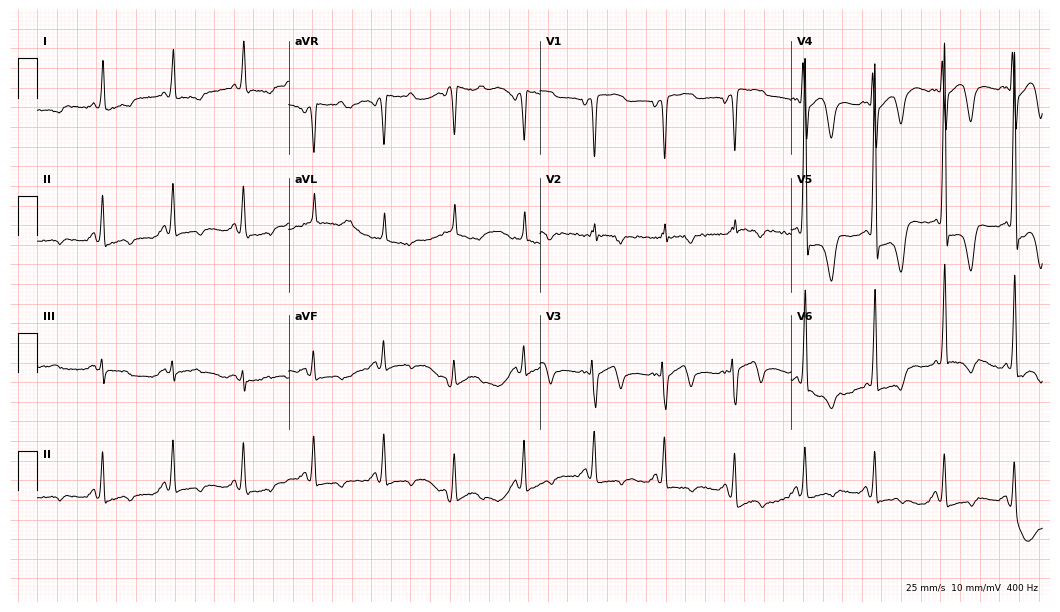
ECG (10.2-second recording at 400 Hz) — a 66-year-old female. Screened for six findings — first-degree AV block, right bundle branch block (RBBB), left bundle branch block (LBBB), sinus bradycardia, atrial fibrillation (AF), sinus tachycardia — none is recorded. Findings outside these six are not listed.